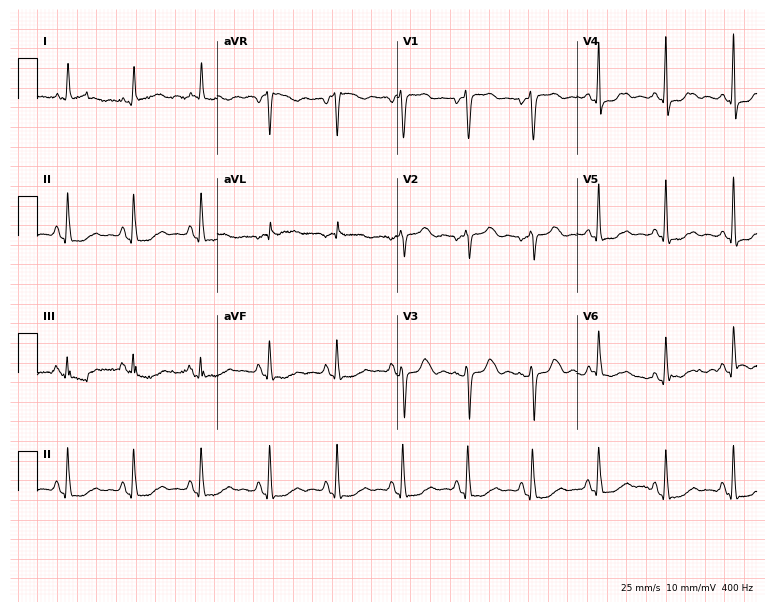
12-lead ECG (7.3-second recording at 400 Hz) from a 73-year-old female. Screened for six findings — first-degree AV block, right bundle branch block, left bundle branch block, sinus bradycardia, atrial fibrillation, sinus tachycardia — none is recorded. Findings outside these six are not listed.